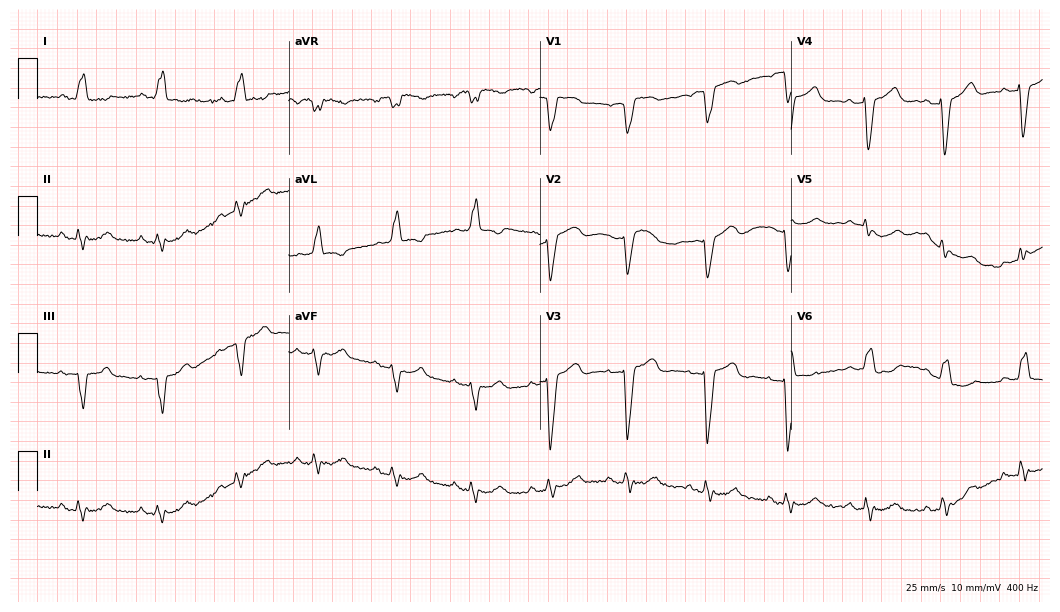
Standard 12-lead ECG recorded from a 75-year-old female. The tracing shows left bundle branch block.